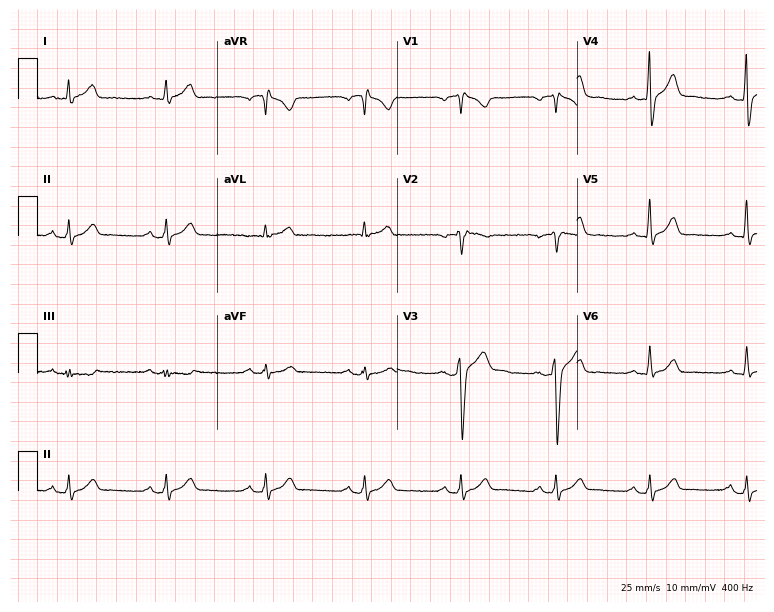
ECG (7.3-second recording at 400 Hz) — a 43-year-old man. Screened for six findings — first-degree AV block, right bundle branch block, left bundle branch block, sinus bradycardia, atrial fibrillation, sinus tachycardia — none is recorded. Only these six findings were labelled.